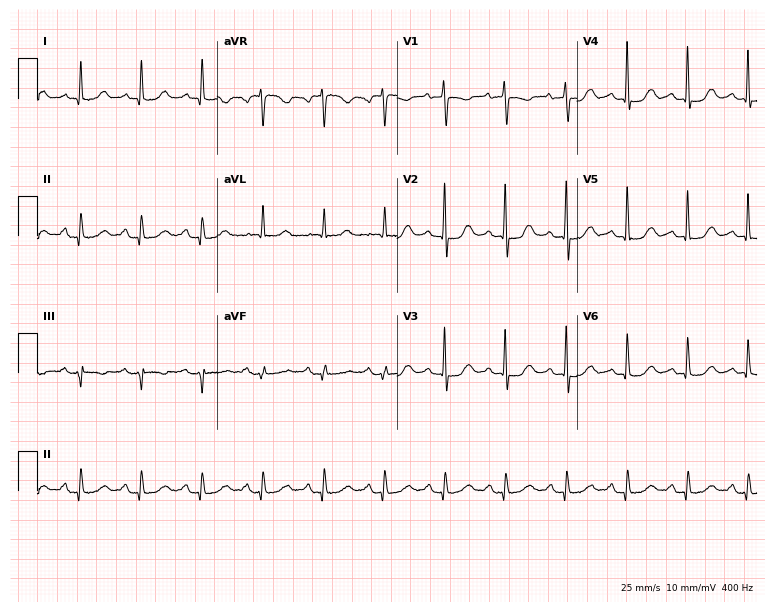
ECG — a female, 65 years old. Screened for six findings — first-degree AV block, right bundle branch block, left bundle branch block, sinus bradycardia, atrial fibrillation, sinus tachycardia — none is recorded. Findings outside these six are not listed.